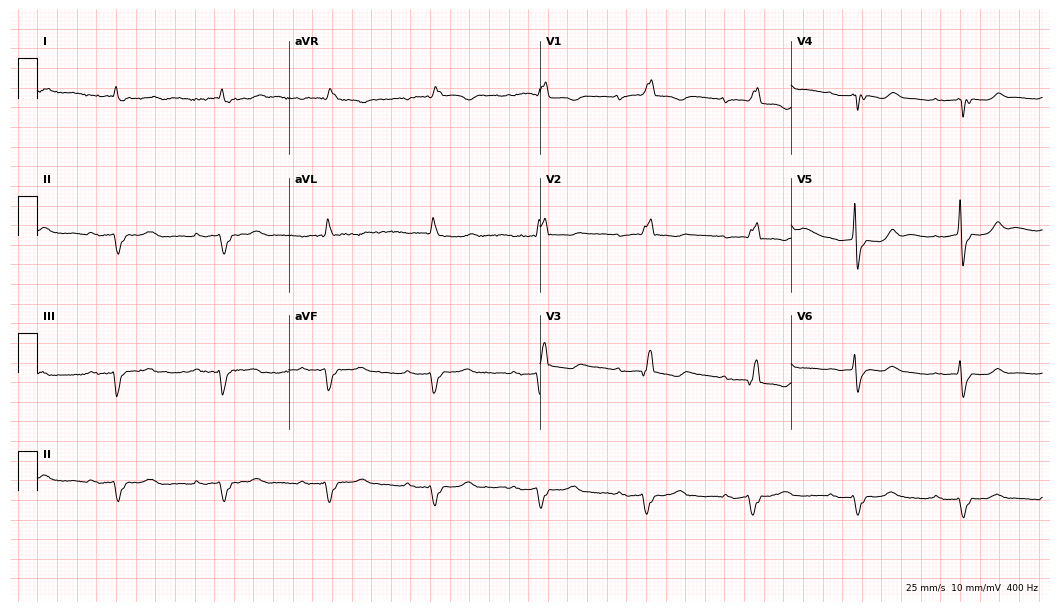
12-lead ECG from an 83-year-old woman. Findings include first-degree AV block, right bundle branch block.